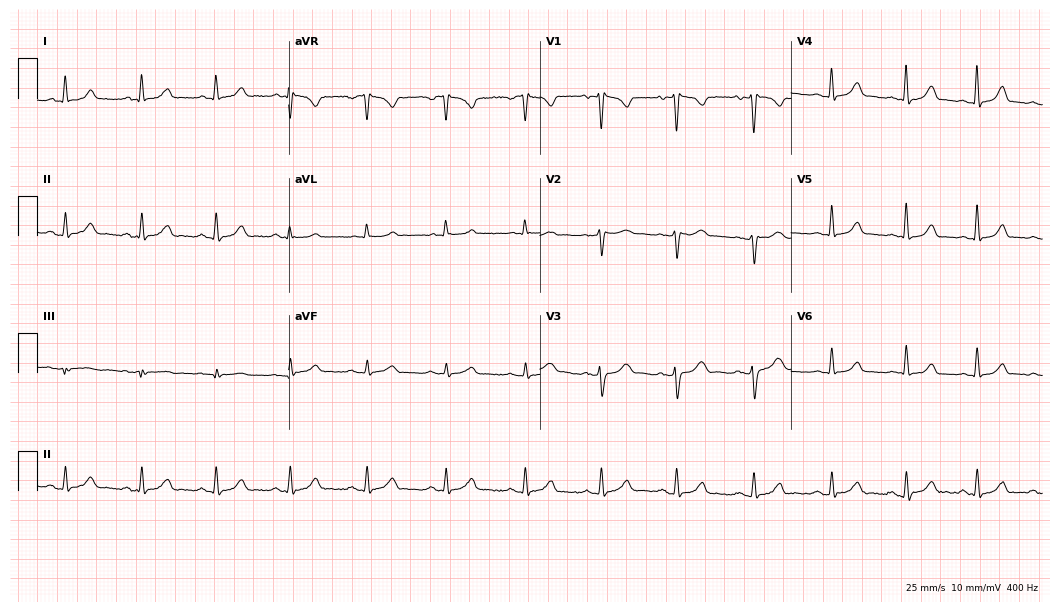
Standard 12-lead ECG recorded from a woman, 38 years old. None of these six findings is recorded: first-degree AV block, right bundle branch block, left bundle branch block, sinus bradycardia, atrial fibrillation, sinus tachycardia. Other findings, if any, are not listed.